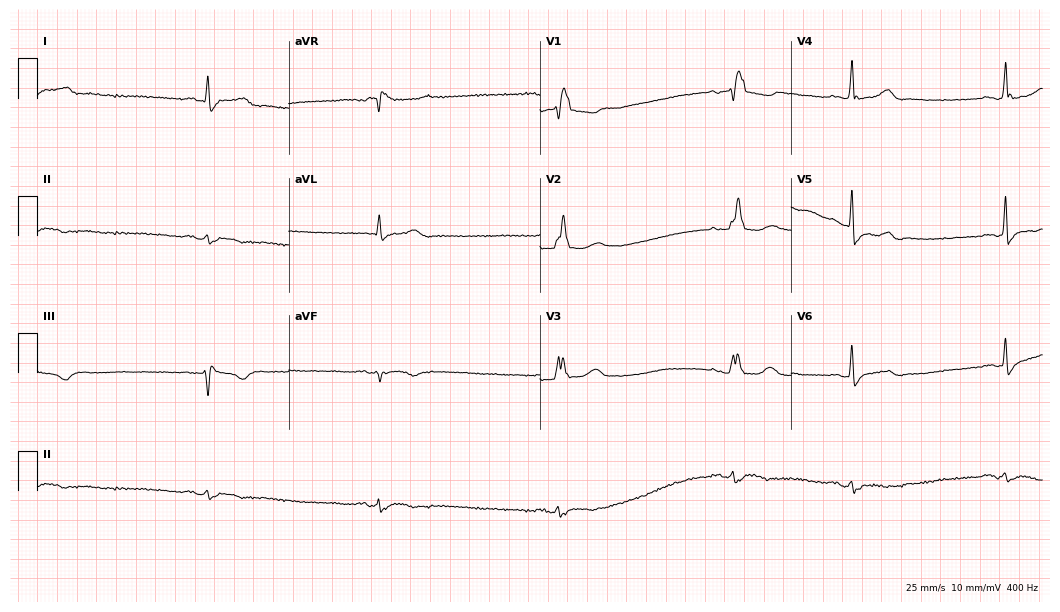
12-lead ECG from a man, 75 years old. No first-degree AV block, right bundle branch block (RBBB), left bundle branch block (LBBB), sinus bradycardia, atrial fibrillation (AF) or sinus tachycardia recorded for this tracing. Only these six findings were labelled.